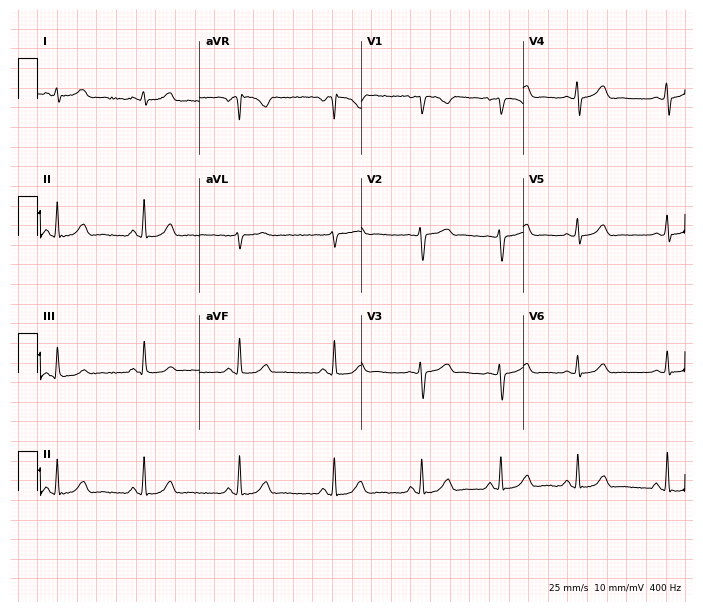
12-lead ECG from a 26-year-old female. Screened for six findings — first-degree AV block, right bundle branch block, left bundle branch block, sinus bradycardia, atrial fibrillation, sinus tachycardia — none is recorded. Findings outside these six are not listed.